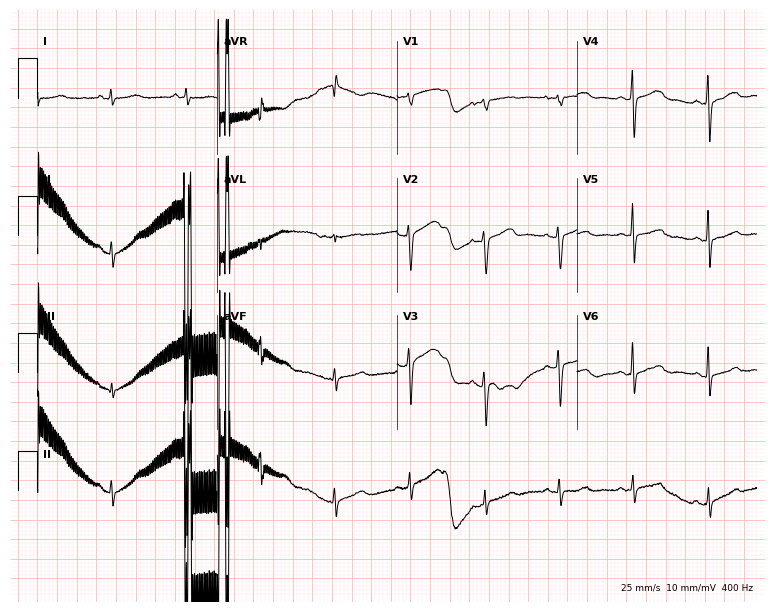
Resting 12-lead electrocardiogram. Patient: a 47-year-old female. None of these six findings is recorded: first-degree AV block, right bundle branch block, left bundle branch block, sinus bradycardia, atrial fibrillation, sinus tachycardia. Other findings, if any, are not listed.